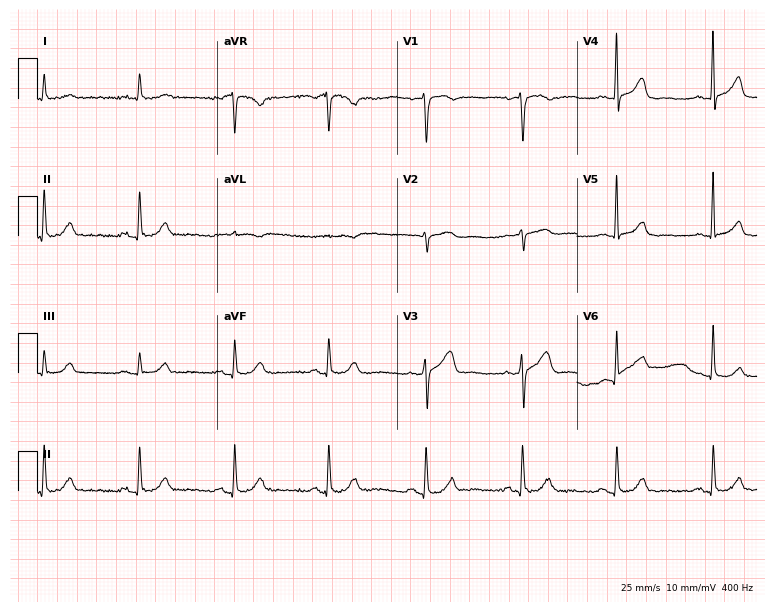
12-lead ECG from a 74-year-old male patient. Labelled as a normal ECG.